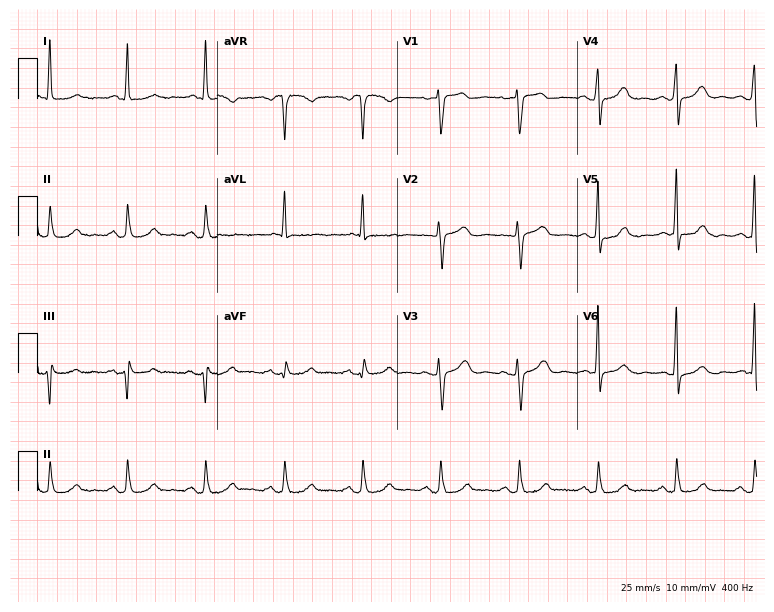
Standard 12-lead ECG recorded from a 68-year-old woman (7.3-second recording at 400 Hz). None of these six findings is recorded: first-degree AV block, right bundle branch block, left bundle branch block, sinus bradycardia, atrial fibrillation, sinus tachycardia. Findings outside these six are not listed.